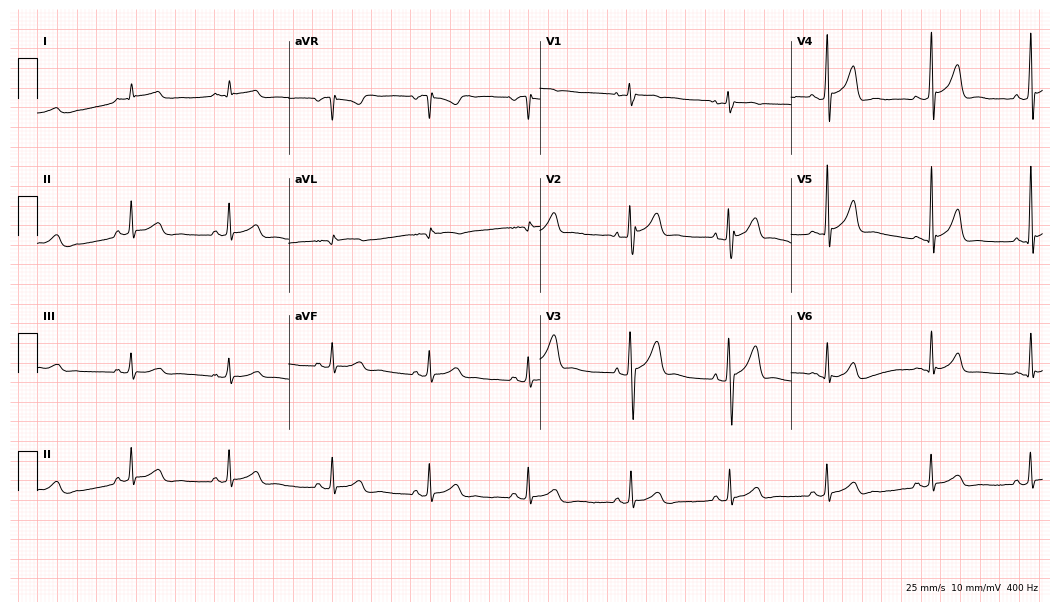
Resting 12-lead electrocardiogram. Patient: a male, 63 years old. Read as a normal ECG.